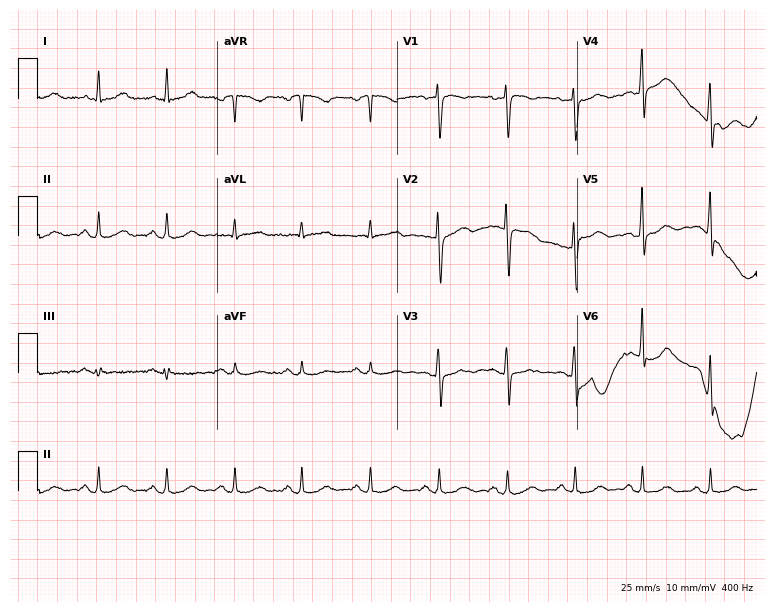
Standard 12-lead ECG recorded from a female, 59 years old. None of these six findings is recorded: first-degree AV block, right bundle branch block, left bundle branch block, sinus bradycardia, atrial fibrillation, sinus tachycardia.